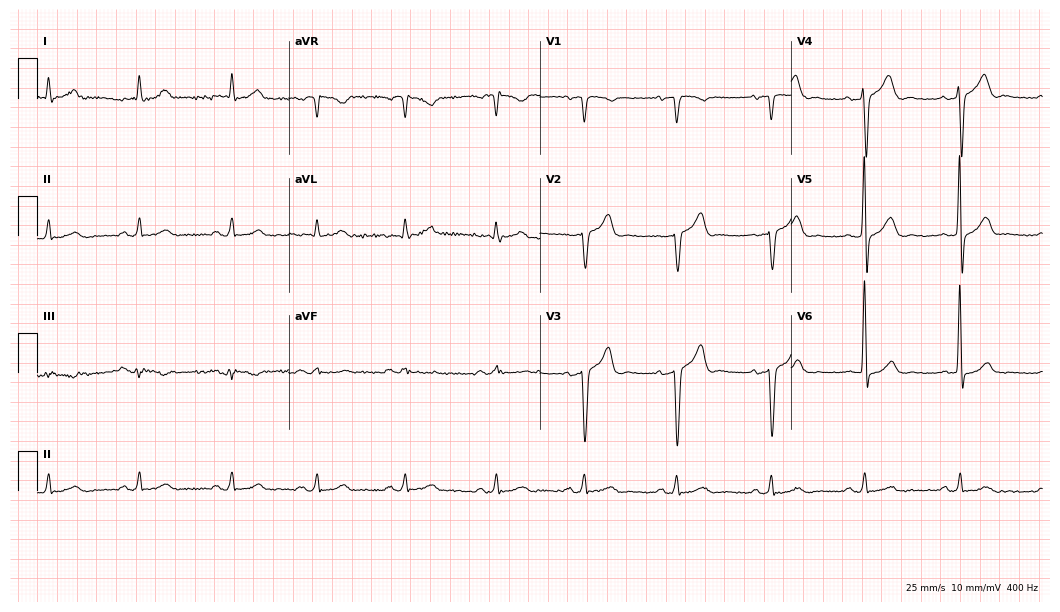
Standard 12-lead ECG recorded from a man, 65 years old. None of these six findings is recorded: first-degree AV block, right bundle branch block, left bundle branch block, sinus bradycardia, atrial fibrillation, sinus tachycardia.